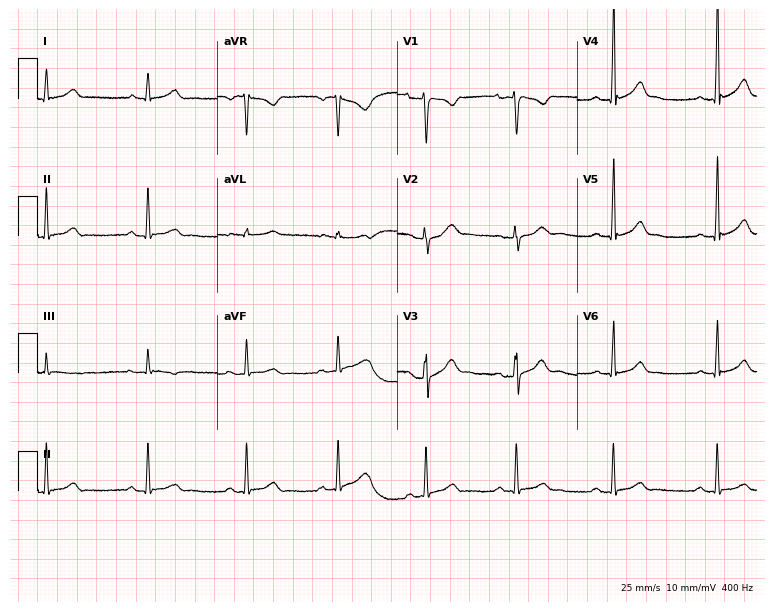
12-lead ECG from a 36-year-old male patient (7.3-second recording at 400 Hz). Recorded interpretation: within normal limits.